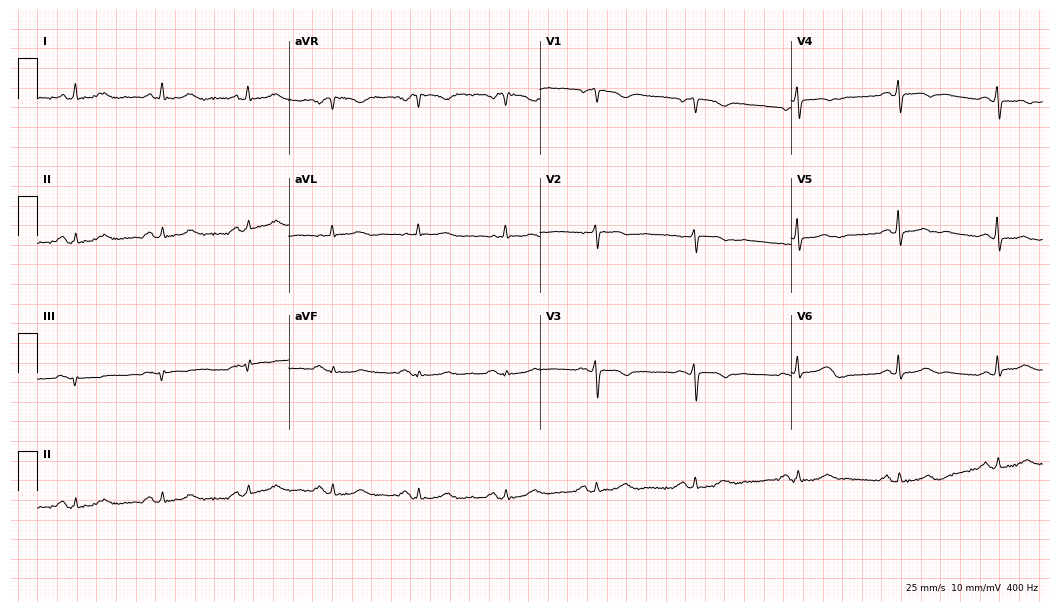
12-lead ECG from a female patient, 71 years old. Screened for six findings — first-degree AV block, right bundle branch block, left bundle branch block, sinus bradycardia, atrial fibrillation, sinus tachycardia — none is recorded.